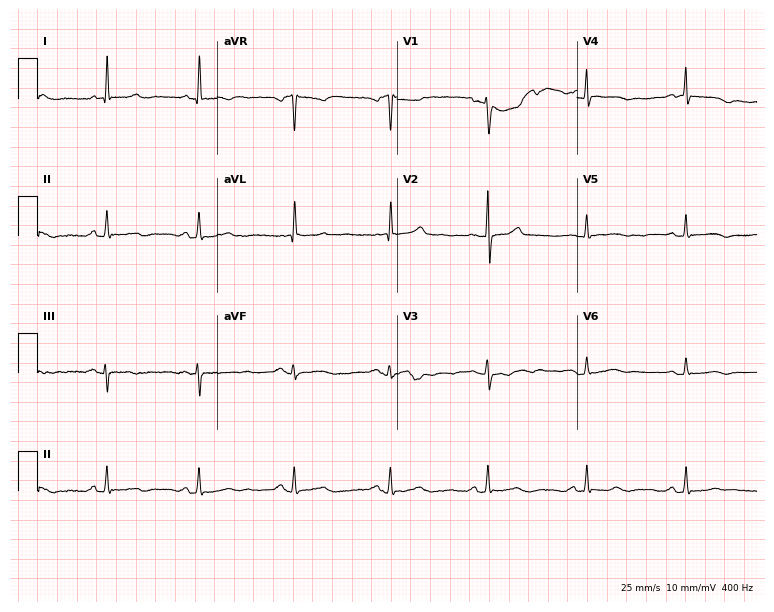
12-lead ECG (7.3-second recording at 400 Hz) from a 65-year-old female patient. Labelled as a normal ECG.